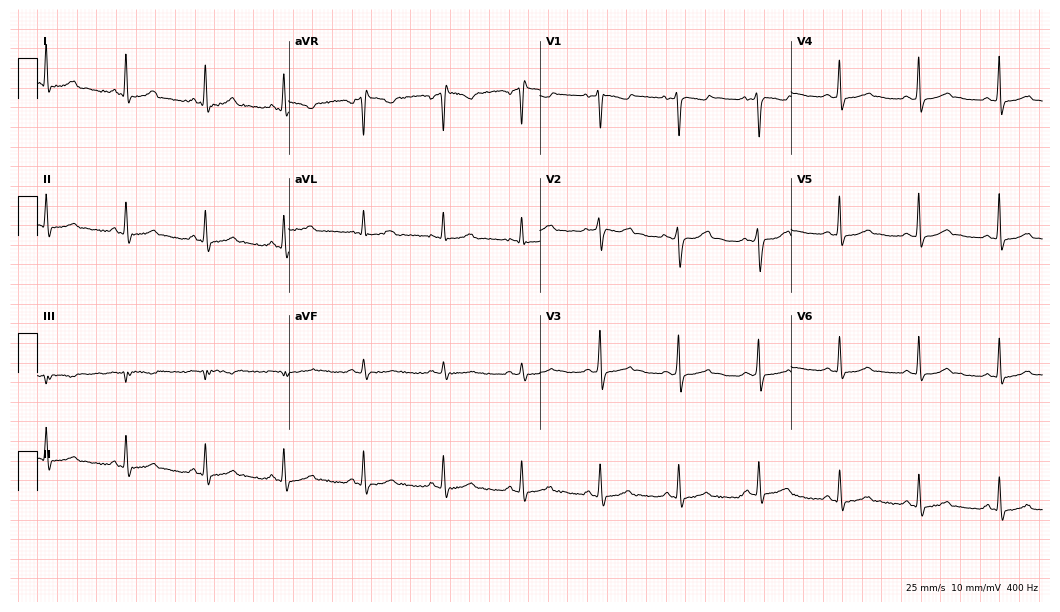
ECG — a 25-year-old woman. Labelled as a normal ECG.